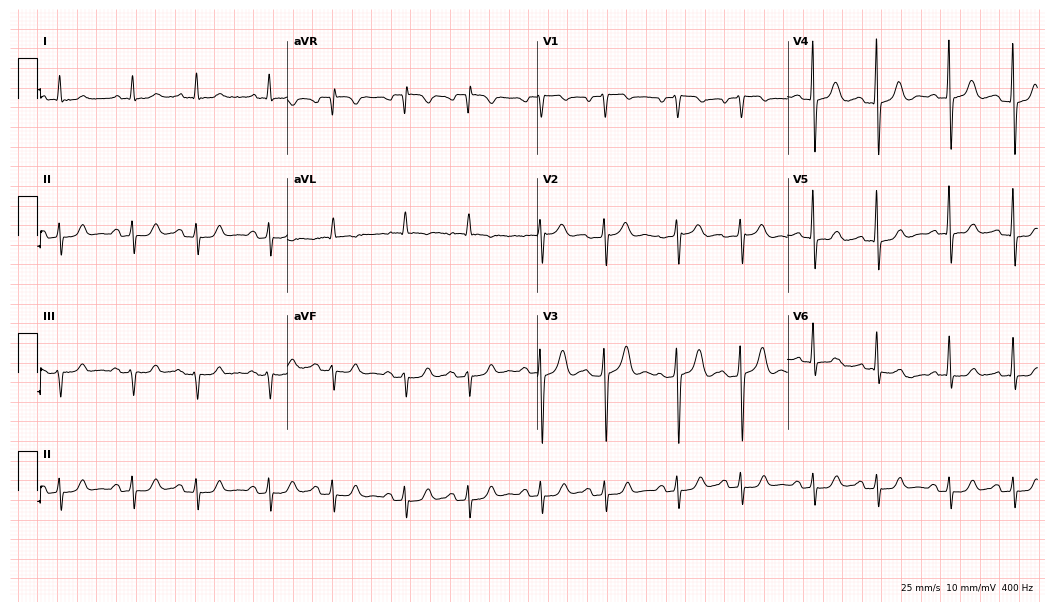
12-lead ECG (10.2-second recording at 400 Hz) from a male, 81 years old. Labelled as a normal ECG.